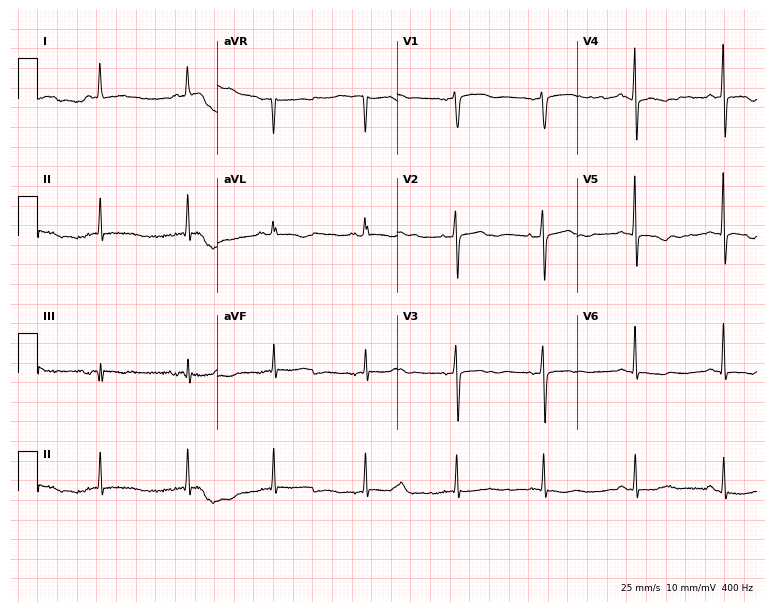
Standard 12-lead ECG recorded from a 67-year-old woman (7.3-second recording at 400 Hz). None of these six findings is recorded: first-degree AV block, right bundle branch block (RBBB), left bundle branch block (LBBB), sinus bradycardia, atrial fibrillation (AF), sinus tachycardia. Other findings, if any, are not listed.